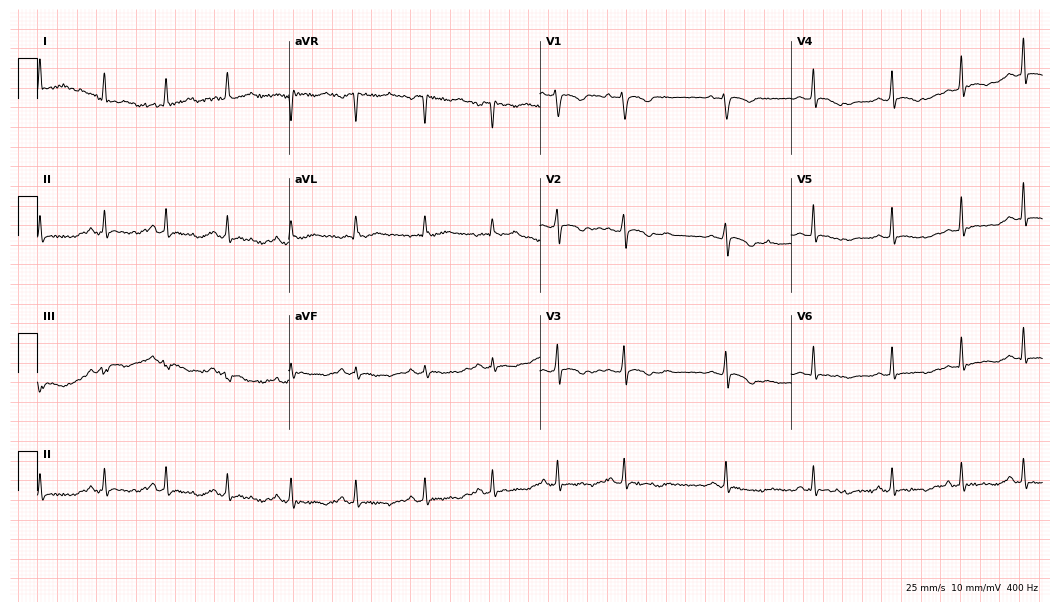
Electrocardiogram, a woman, 37 years old. Of the six screened findings (first-degree AV block, right bundle branch block (RBBB), left bundle branch block (LBBB), sinus bradycardia, atrial fibrillation (AF), sinus tachycardia), none is recorded.